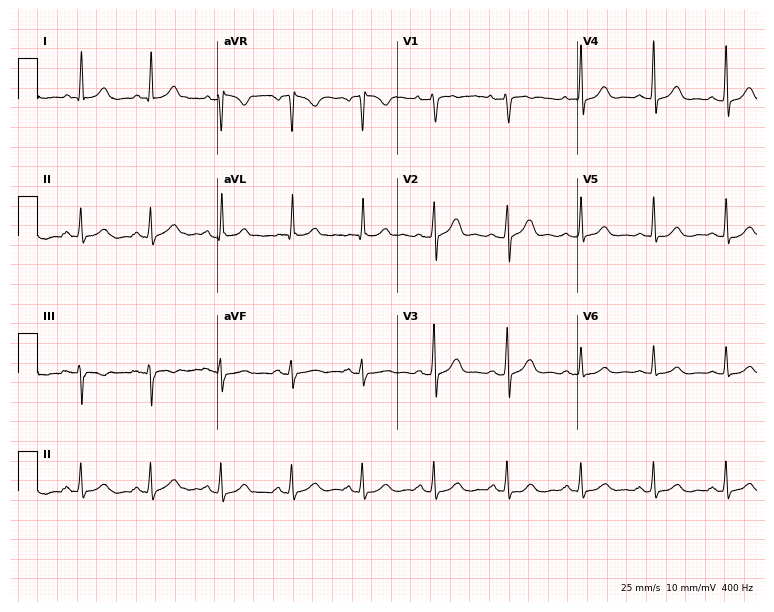
Standard 12-lead ECG recorded from a female patient, 50 years old. None of these six findings is recorded: first-degree AV block, right bundle branch block (RBBB), left bundle branch block (LBBB), sinus bradycardia, atrial fibrillation (AF), sinus tachycardia. Findings outside these six are not listed.